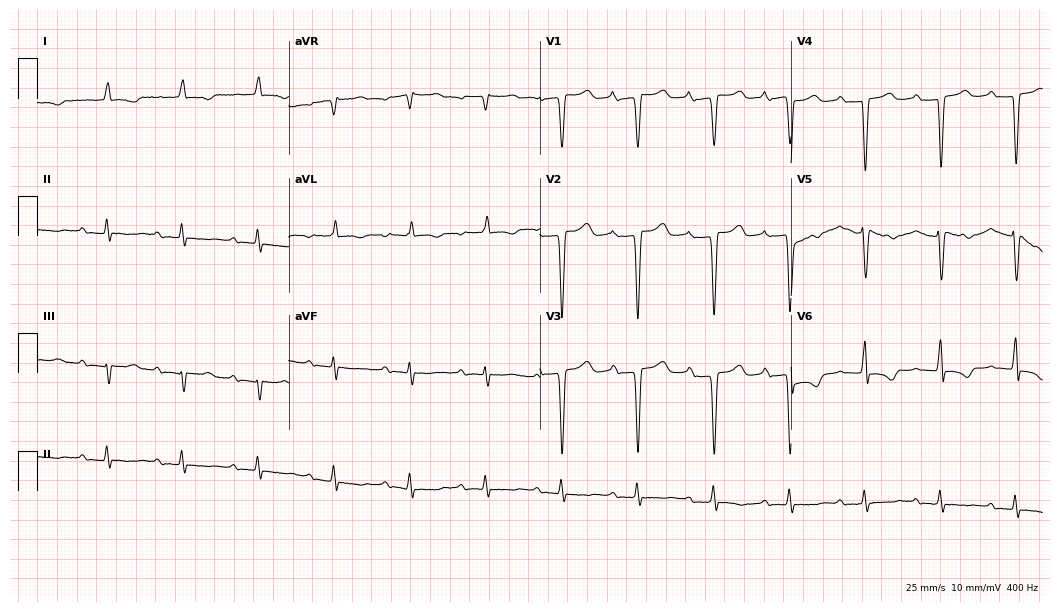
12-lead ECG from an 80-year-old female. Shows first-degree AV block.